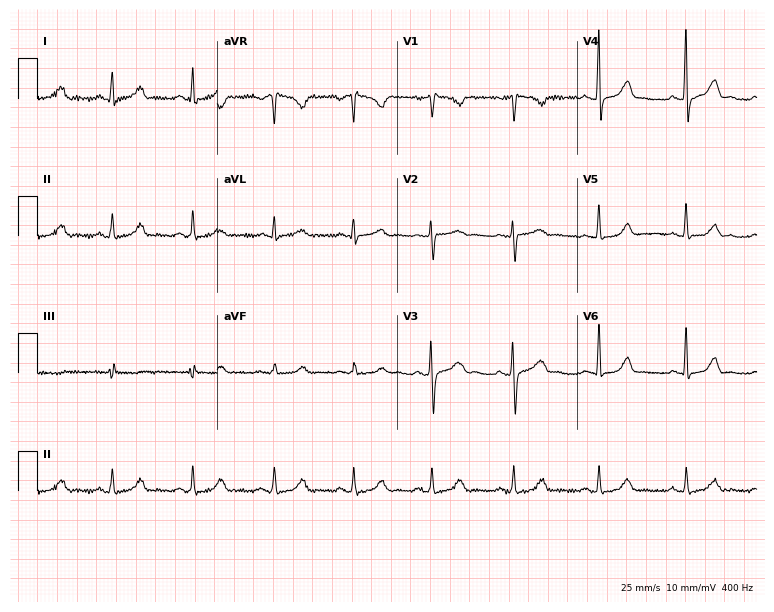
Resting 12-lead electrocardiogram. Patient: a 32-year-old female. None of these six findings is recorded: first-degree AV block, right bundle branch block, left bundle branch block, sinus bradycardia, atrial fibrillation, sinus tachycardia. Other findings, if any, are not listed.